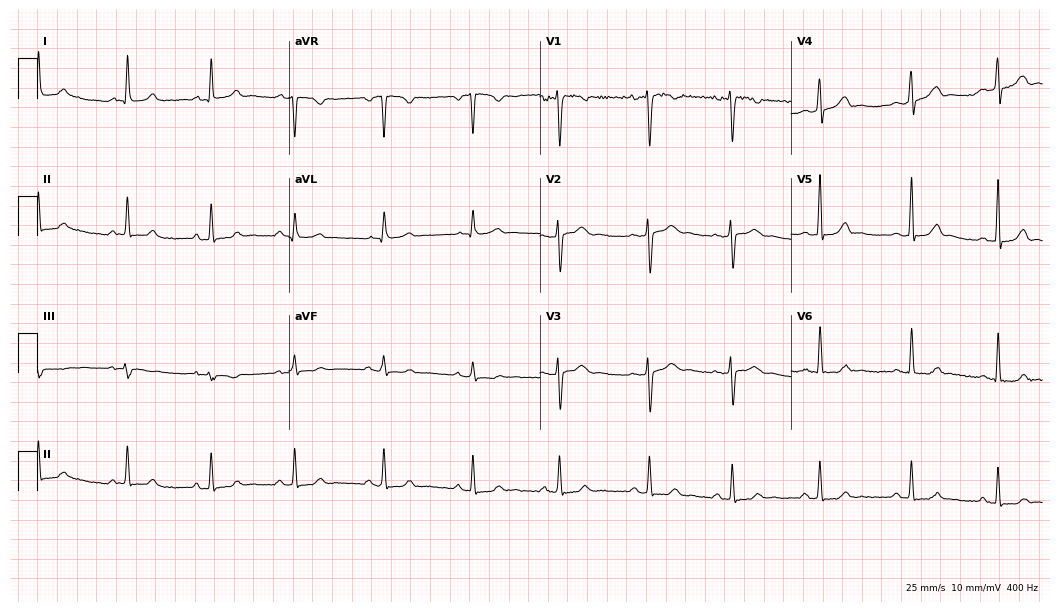
12-lead ECG (10.2-second recording at 400 Hz) from a 26-year-old female patient. Labelled as a normal ECG.